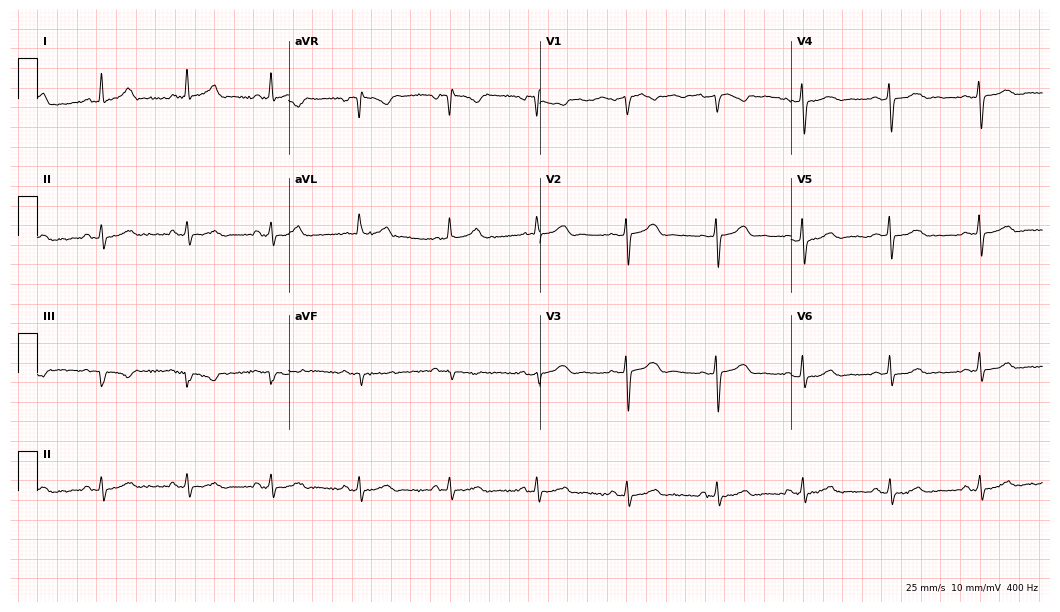
12-lead ECG from a female, 45 years old (10.2-second recording at 400 Hz). Recorded interpretation: within normal limits.